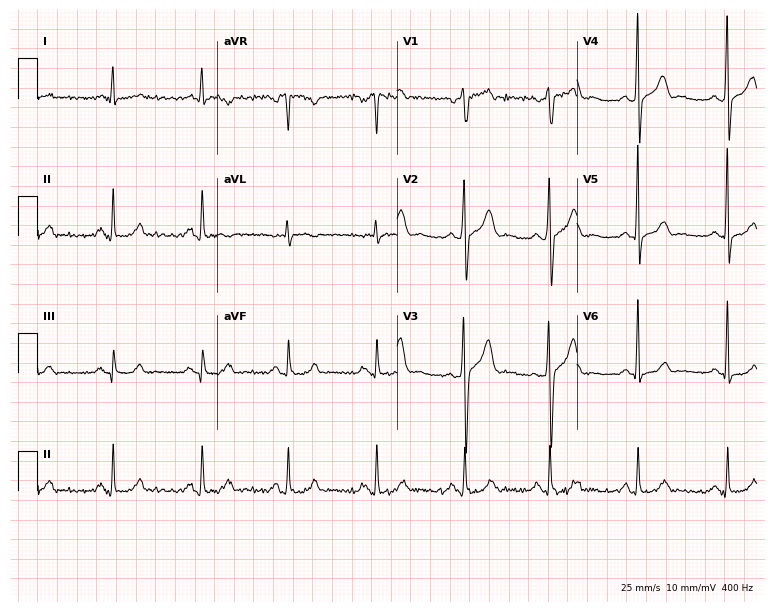
Resting 12-lead electrocardiogram. Patient: a 45-year-old male. Read as a normal ECG.